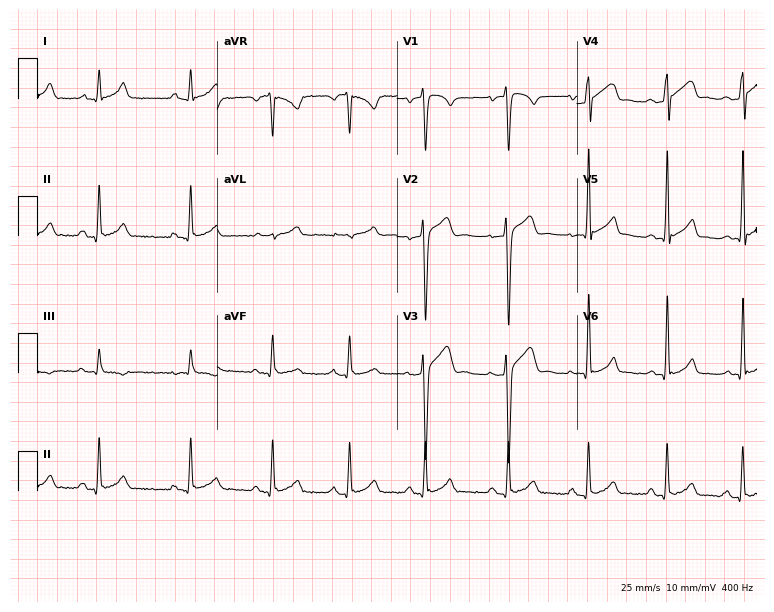
12-lead ECG from a 31-year-old male. No first-degree AV block, right bundle branch block (RBBB), left bundle branch block (LBBB), sinus bradycardia, atrial fibrillation (AF) or sinus tachycardia recorded for this tracing.